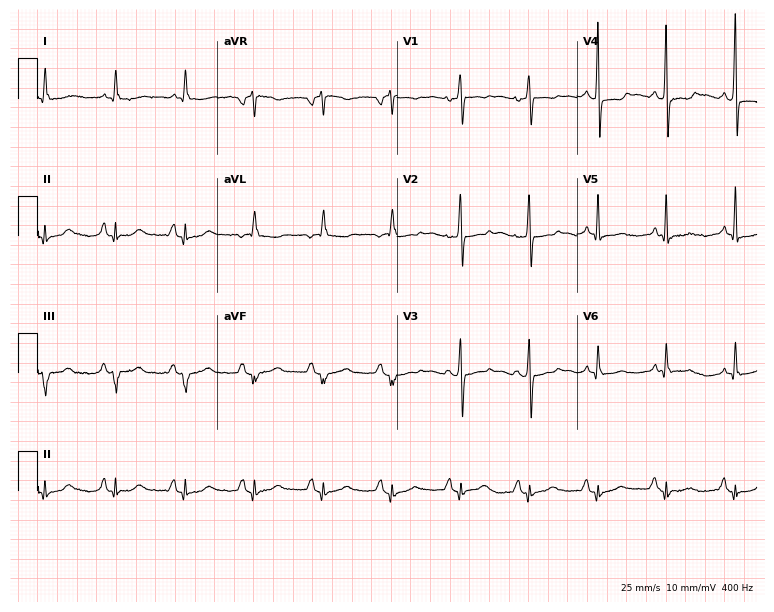
12-lead ECG from a female patient, 80 years old. No first-degree AV block, right bundle branch block, left bundle branch block, sinus bradycardia, atrial fibrillation or sinus tachycardia recorded for this tracing.